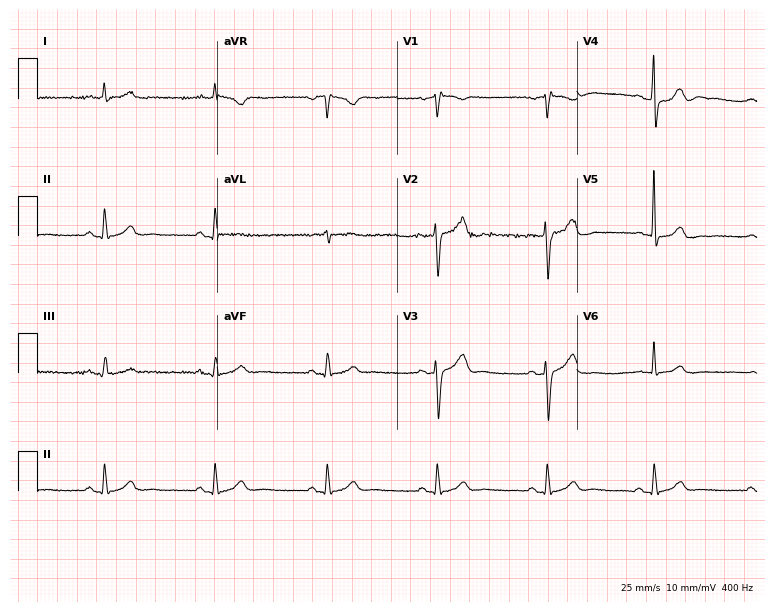
ECG — a man, 64 years old. Labelled as a normal ECG.